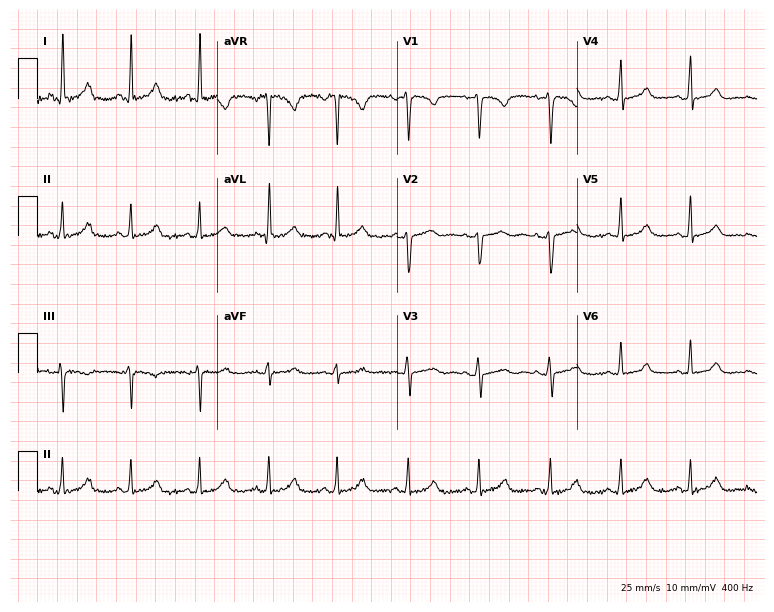
Electrocardiogram, a female patient, 41 years old. Of the six screened findings (first-degree AV block, right bundle branch block (RBBB), left bundle branch block (LBBB), sinus bradycardia, atrial fibrillation (AF), sinus tachycardia), none is recorded.